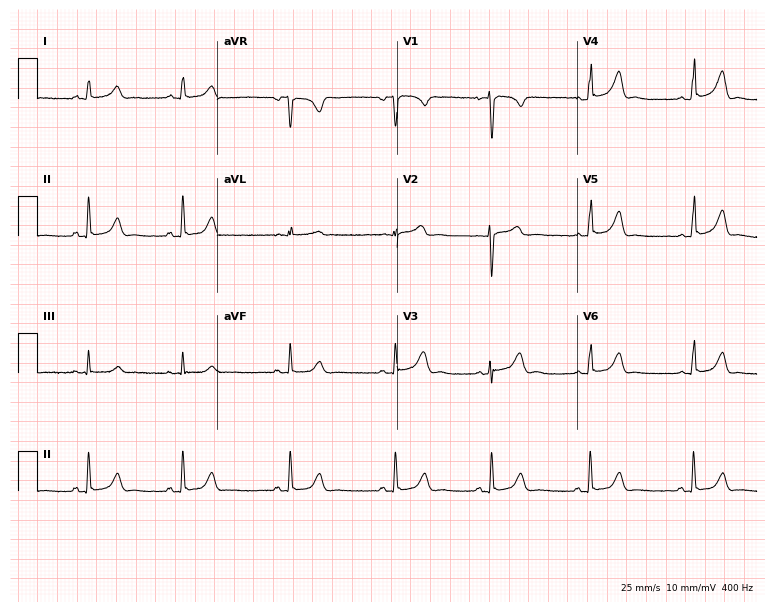
12-lead ECG (7.3-second recording at 400 Hz) from a female, 24 years old. Screened for six findings — first-degree AV block, right bundle branch block, left bundle branch block, sinus bradycardia, atrial fibrillation, sinus tachycardia — none is recorded.